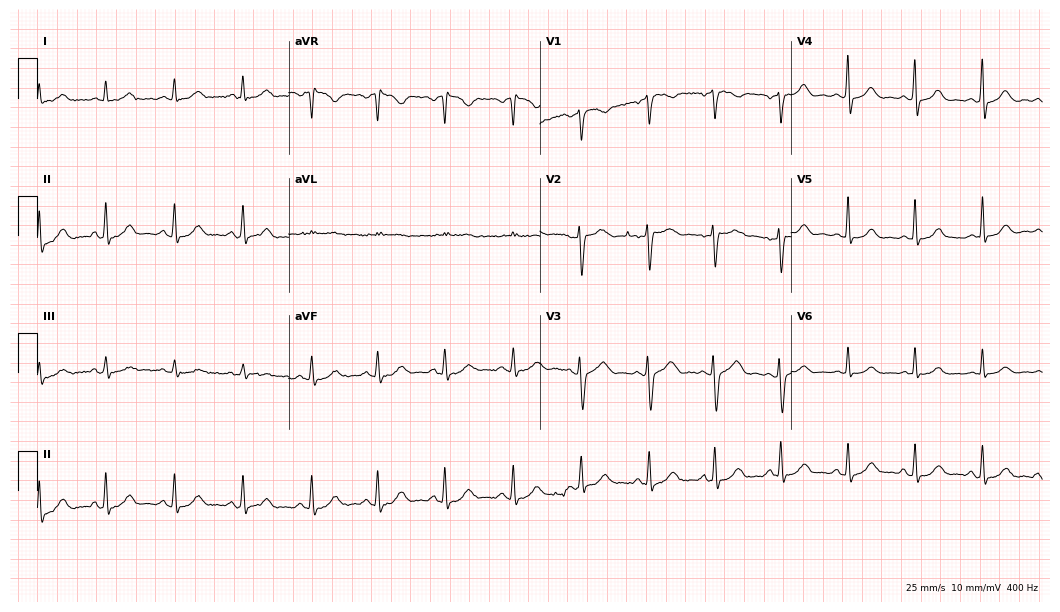
Resting 12-lead electrocardiogram (10.2-second recording at 400 Hz). Patient: a 54-year-old woman. Read as a normal ECG.